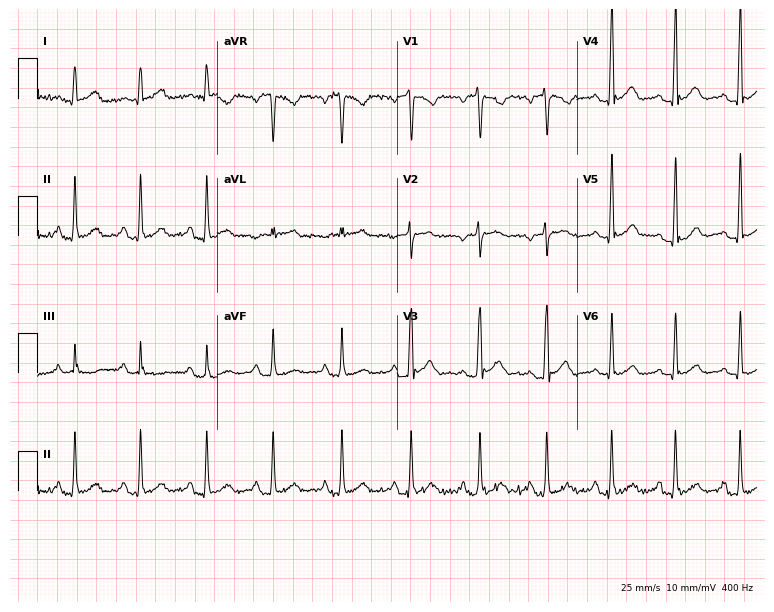
Standard 12-lead ECG recorded from a 48-year-old male patient (7.3-second recording at 400 Hz). None of these six findings is recorded: first-degree AV block, right bundle branch block, left bundle branch block, sinus bradycardia, atrial fibrillation, sinus tachycardia.